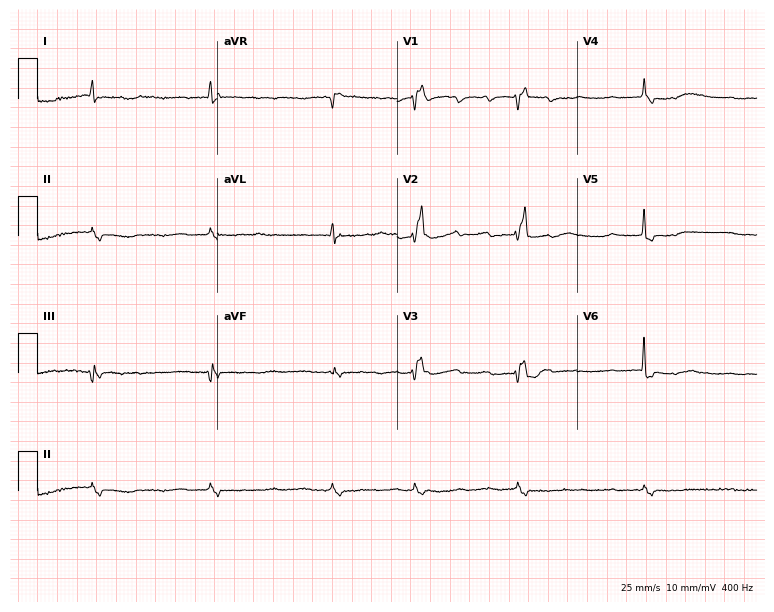
12-lead ECG from a man, 80 years old (7.3-second recording at 400 Hz). Shows right bundle branch block.